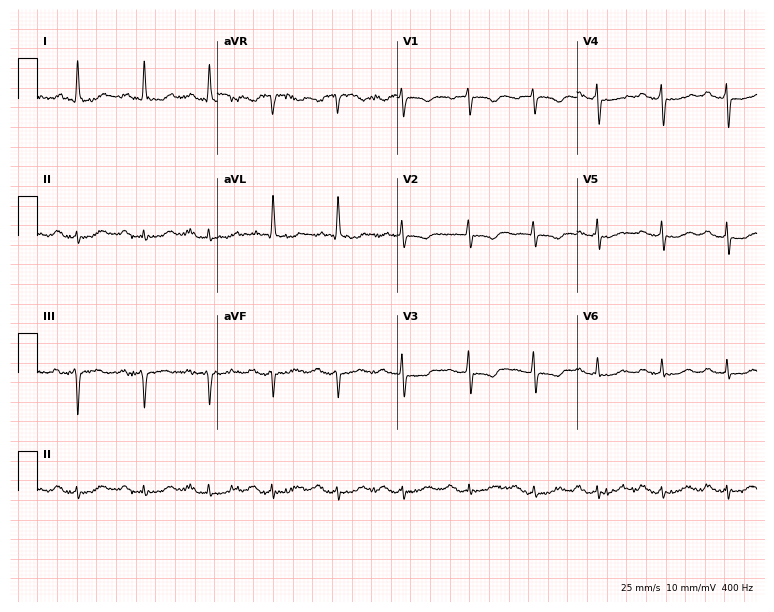
ECG (7.3-second recording at 400 Hz) — a 75-year-old female patient. Screened for six findings — first-degree AV block, right bundle branch block (RBBB), left bundle branch block (LBBB), sinus bradycardia, atrial fibrillation (AF), sinus tachycardia — none is recorded. Other findings, if any, are not listed.